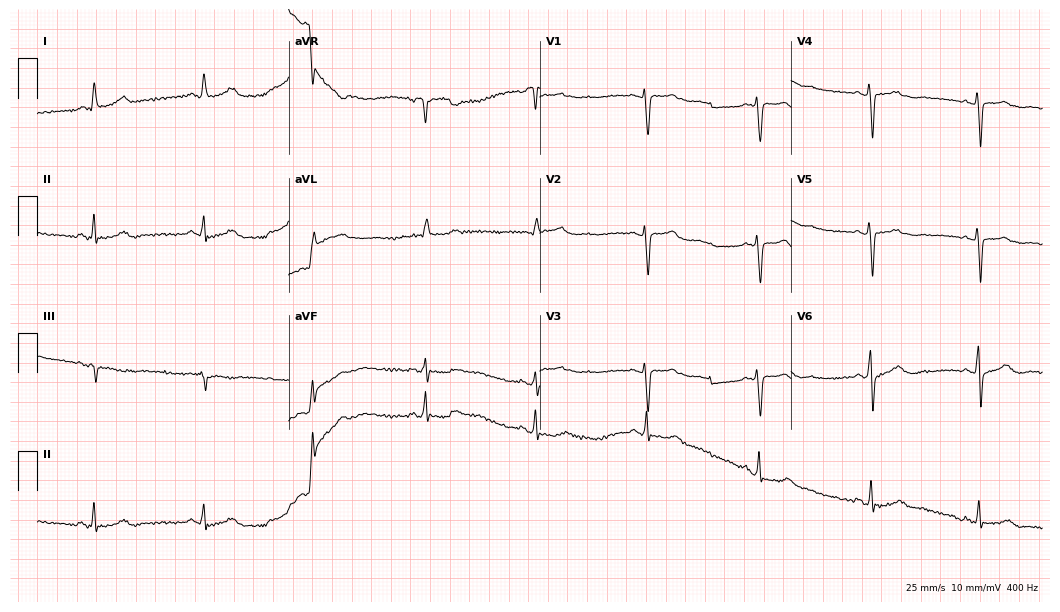
12-lead ECG from a 70-year-old woman (10.2-second recording at 400 Hz). No first-degree AV block, right bundle branch block, left bundle branch block, sinus bradycardia, atrial fibrillation or sinus tachycardia recorded for this tracing.